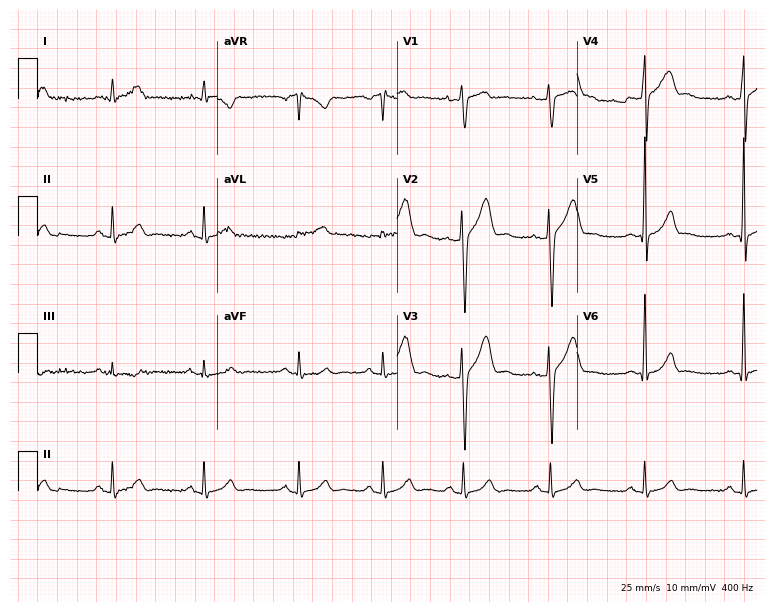
Resting 12-lead electrocardiogram (7.3-second recording at 400 Hz). Patient: a man, 33 years old. None of these six findings is recorded: first-degree AV block, right bundle branch block (RBBB), left bundle branch block (LBBB), sinus bradycardia, atrial fibrillation (AF), sinus tachycardia.